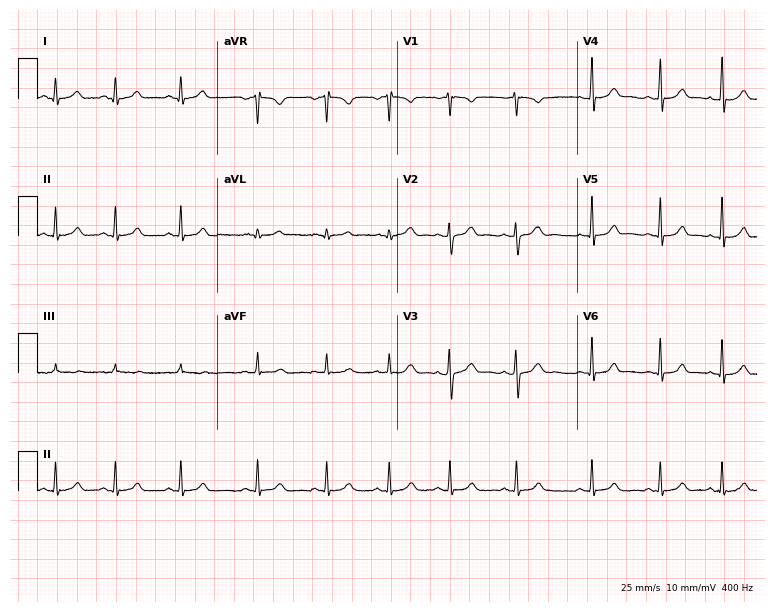
Standard 12-lead ECG recorded from an 18-year-old female patient (7.3-second recording at 400 Hz). None of these six findings is recorded: first-degree AV block, right bundle branch block (RBBB), left bundle branch block (LBBB), sinus bradycardia, atrial fibrillation (AF), sinus tachycardia. Other findings, if any, are not listed.